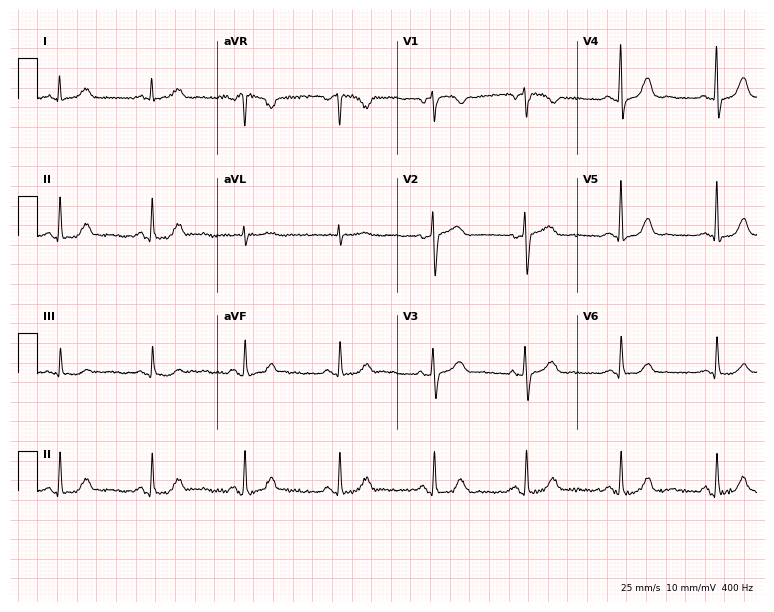
12-lead ECG (7.3-second recording at 400 Hz) from a female patient, 75 years old. Labelled as a normal ECG.